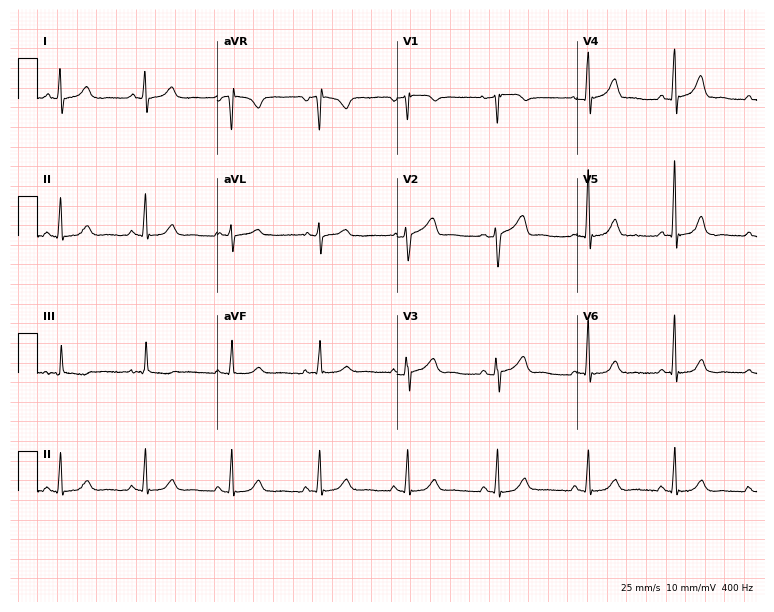
12-lead ECG (7.3-second recording at 400 Hz) from a 51-year-old female. Labelled as a normal ECG.